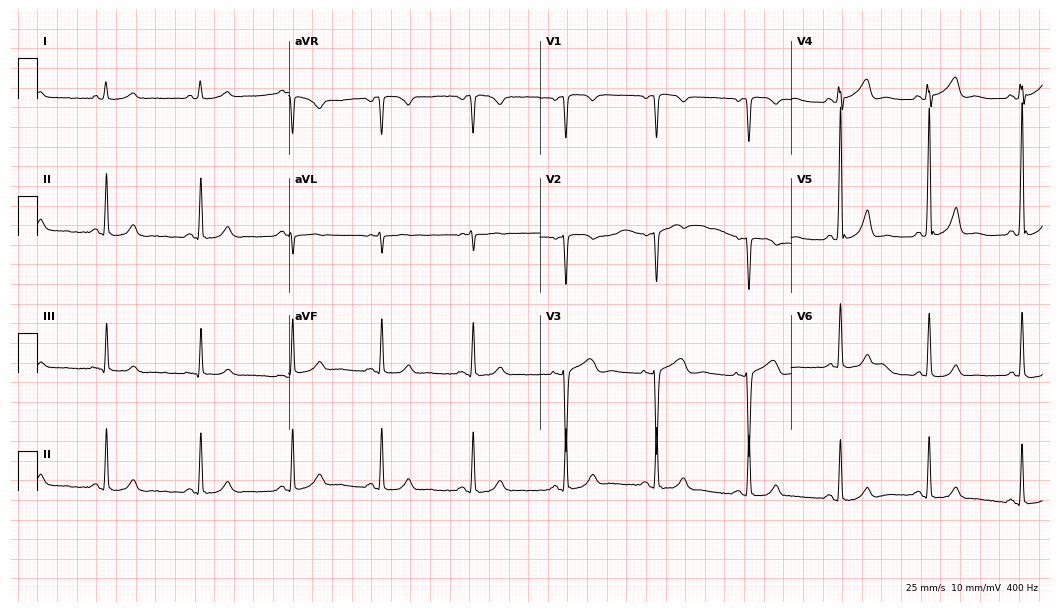
Standard 12-lead ECG recorded from a 54-year-old female patient. None of these six findings is recorded: first-degree AV block, right bundle branch block (RBBB), left bundle branch block (LBBB), sinus bradycardia, atrial fibrillation (AF), sinus tachycardia. Findings outside these six are not listed.